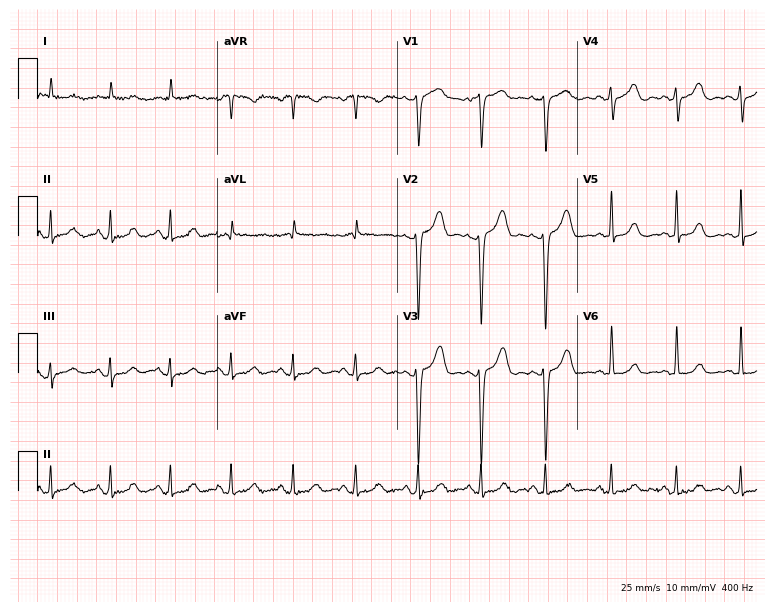
Standard 12-lead ECG recorded from a 74-year-old female (7.3-second recording at 400 Hz). Read as a normal ECG.